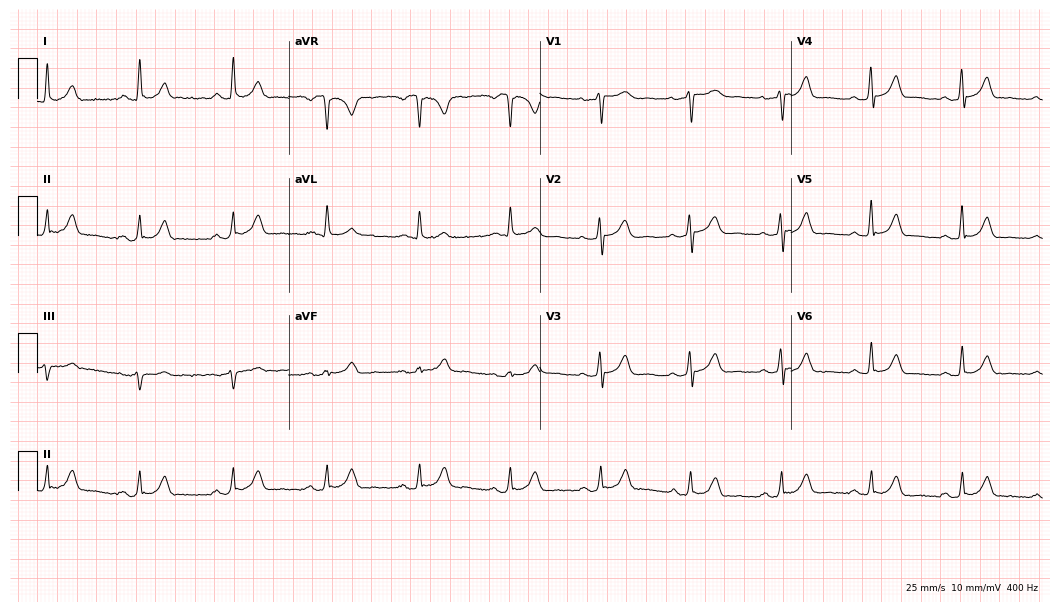
Electrocardiogram (10.2-second recording at 400 Hz), a male patient, 68 years old. Overall reading on record: normal ECG.